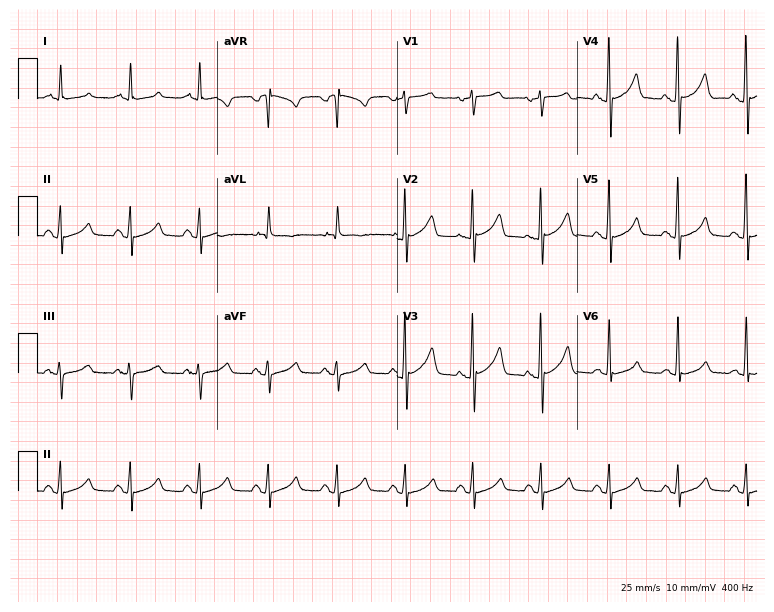
Resting 12-lead electrocardiogram. Patient: a 50-year-old female. Read as a normal ECG.